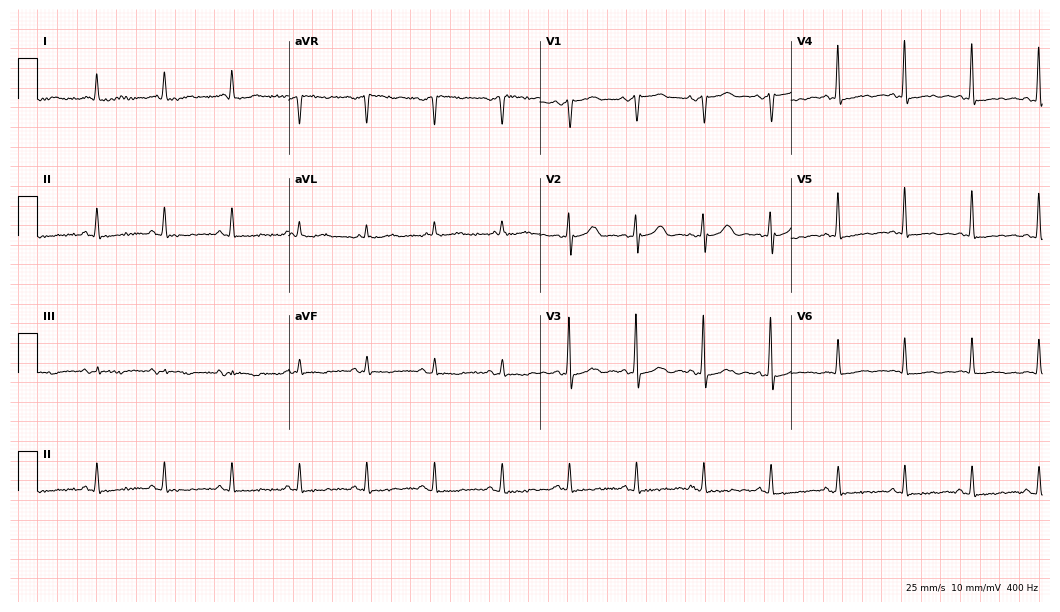
Electrocardiogram (10.2-second recording at 400 Hz), a female patient, 68 years old. Of the six screened findings (first-degree AV block, right bundle branch block, left bundle branch block, sinus bradycardia, atrial fibrillation, sinus tachycardia), none is recorded.